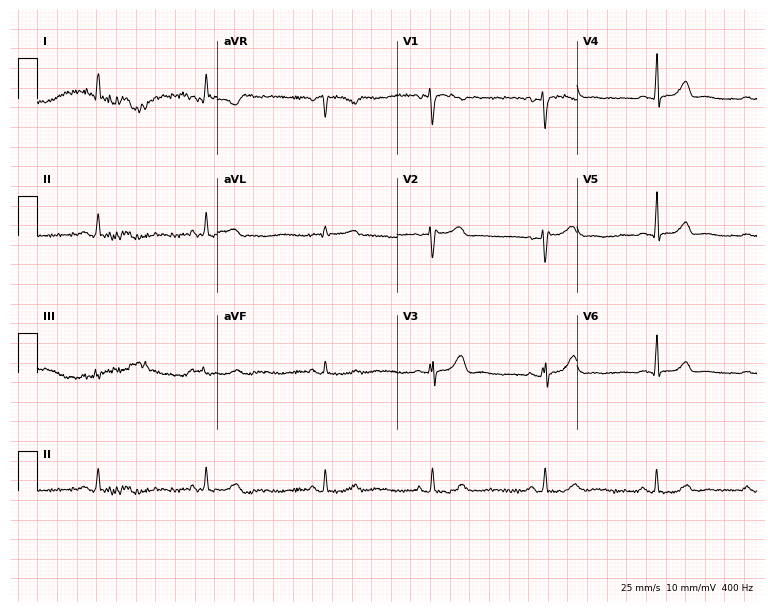
ECG — a female patient, 48 years old. Screened for six findings — first-degree AV block, right bundle branch block (RBBB), left bundle branch block (LBBB), sinus bradycardia, atrial fibrillation (AF), sinus tachycardia — none is recorded.